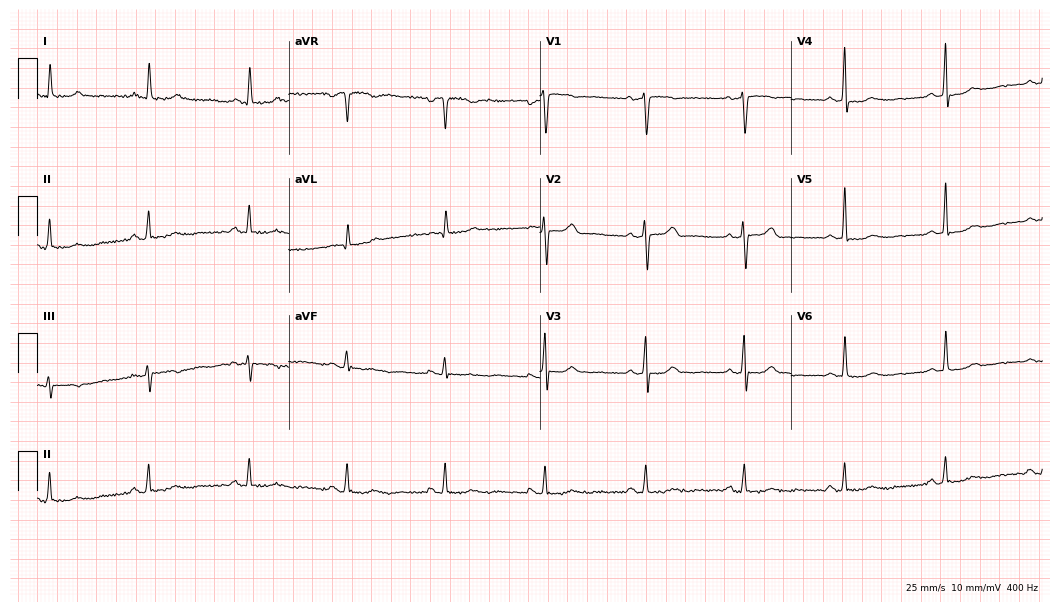
Electrocardiogram, a 58-year-old male. Of the six screened findings (first-degree AV block, right bundle branch block, left bundle branch block, sinus bradycardia, atrial fibrillation, sinus tachycardia), none is recorded. Other findings, if any, are not listed.